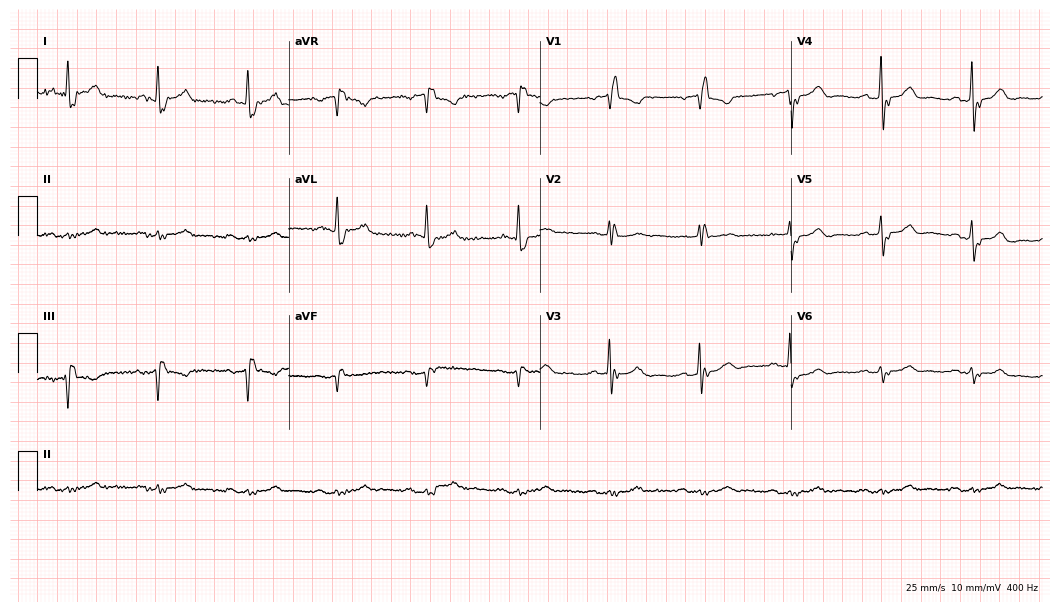
12-lead ECG from a man, 82 years old (10.2-second recording at 400 Hz). Shows right bundle branch block.